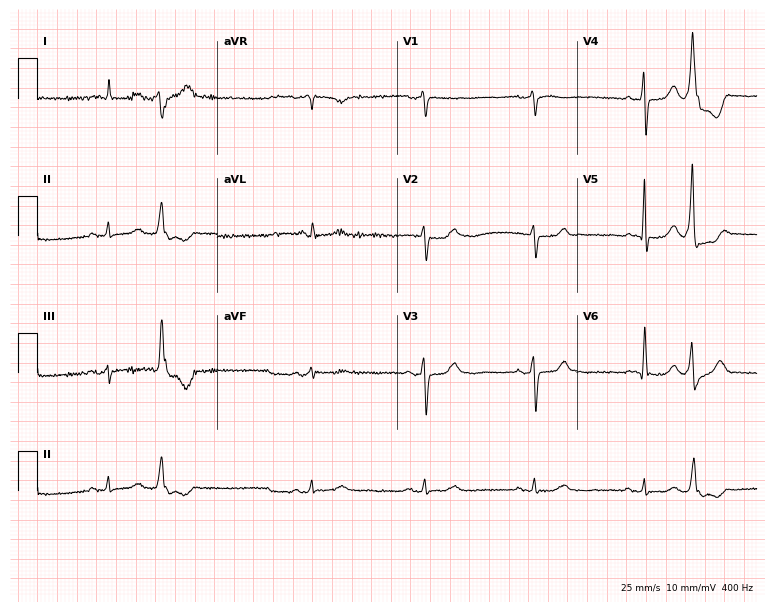
ECG (7.3-second recording at 400 Hz) — an 84-year-old female. Screened for six findings — first-degree AV block, right bundle branch block, left bundle branch block, sinus bradycardia, atrial fibrillation, sinus tachycardia — none is recorded. Findings outside these six are not listed.